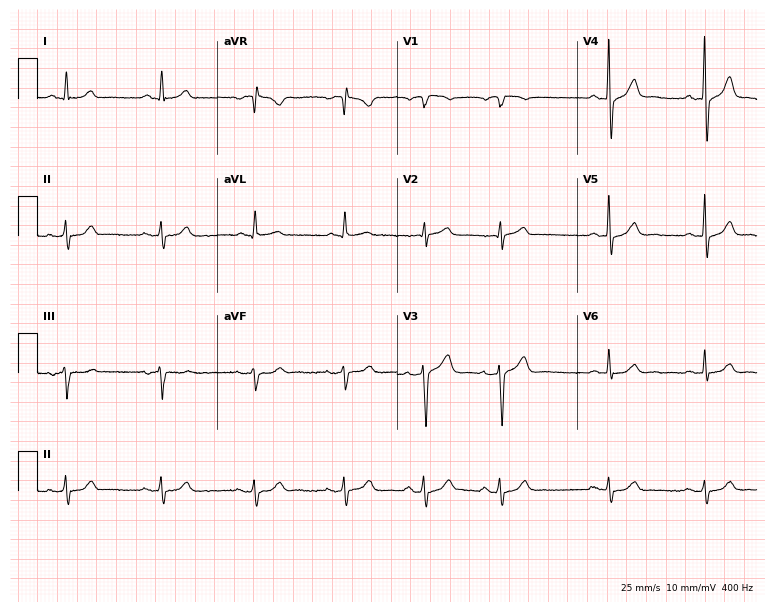
12-lead ECG (7.3-second recording at 400 Hz) from a 75-year-old male. Screened for six findings — first-degree AV block, right bundle branch block, left bundle branch block, sinus bradycardia, atrial fibrillation, sinus tachycardia — none is recorded. Other findings, if any, are not listed.